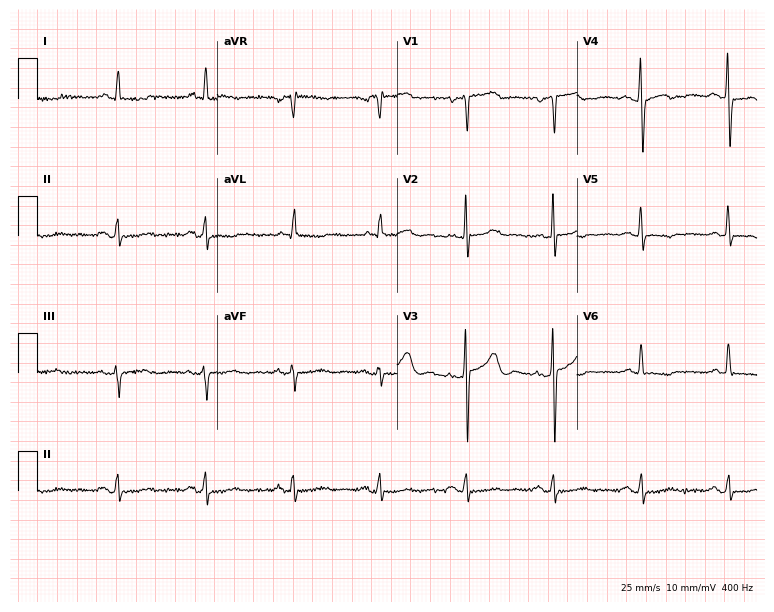
ECG (7.3-second recording at 400 Hz) — a 61-year-old female patient. Labelled as a normal ECG.